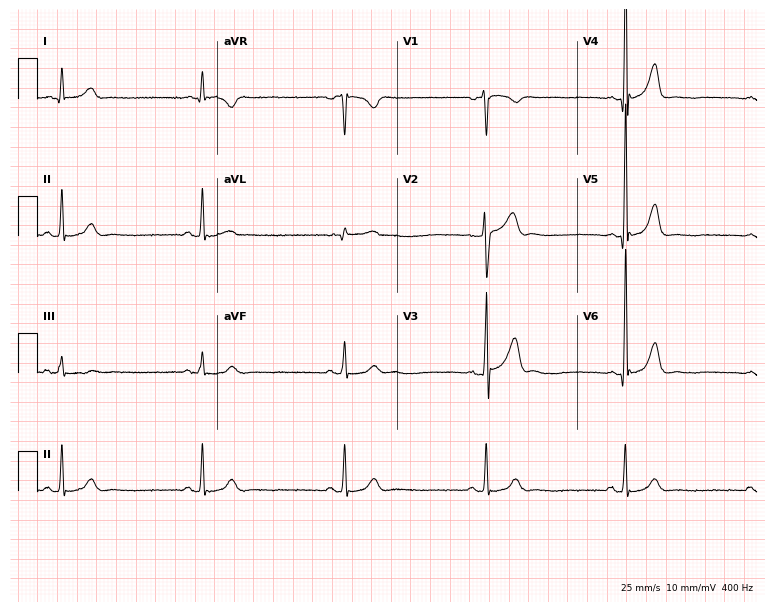
12-lead ECG from a man, 65 years old. Shows sinus bradycardia (a sinus rate of 50 beats per minute or less).